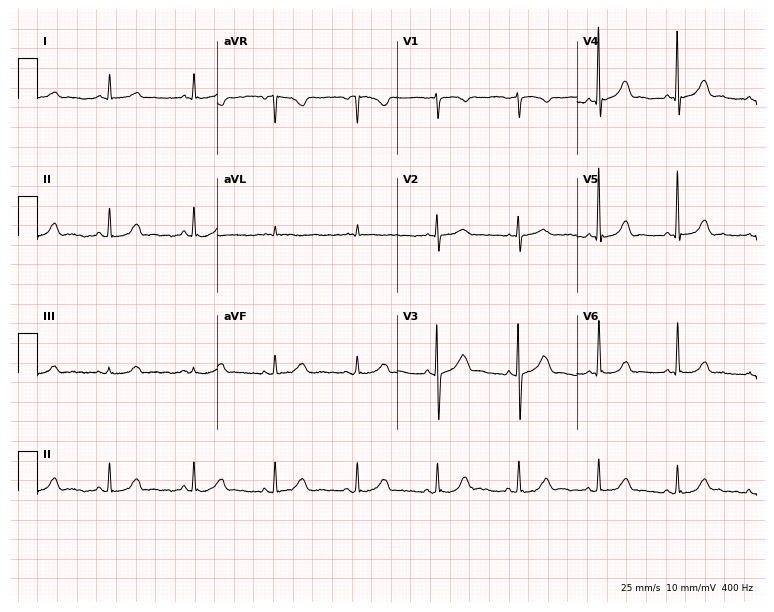
12-lead ECG from an 84-year-old female. Recorded interpretation: within normal limits.